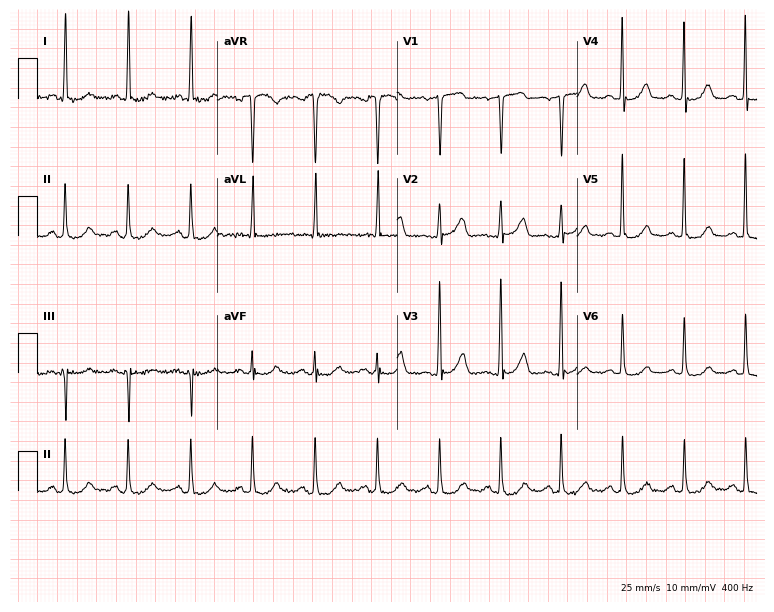
Standard 12-lead ECG recorded from a 60-year-old female. Read as a normal ECG.